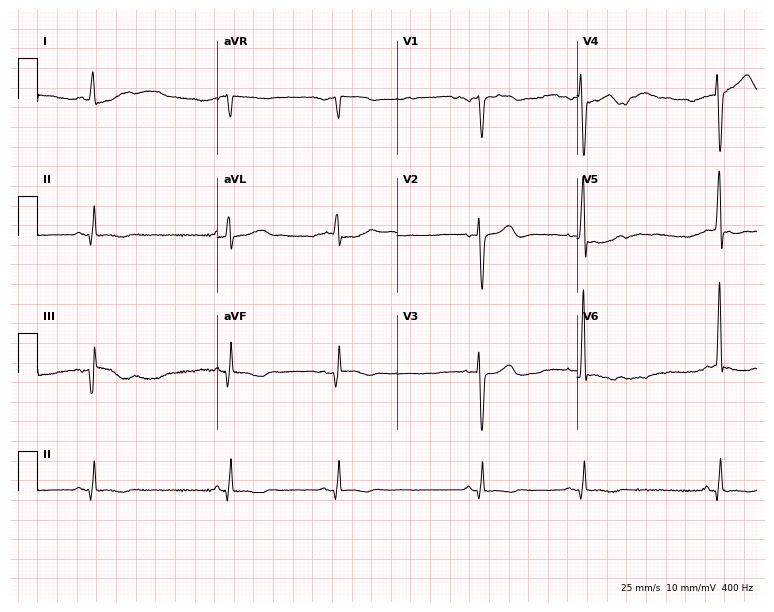
Resting 12-lead electrocardiogram. Patient: a 68-year-old male. None of these six findings is recorded: first-degree AV block, right bundle branch block (RBBB), left bundle branch block (LBBB), sinus bradycardia, atrial fibrillation (AF), sinus tachycardia. Only these six findings were labelled.